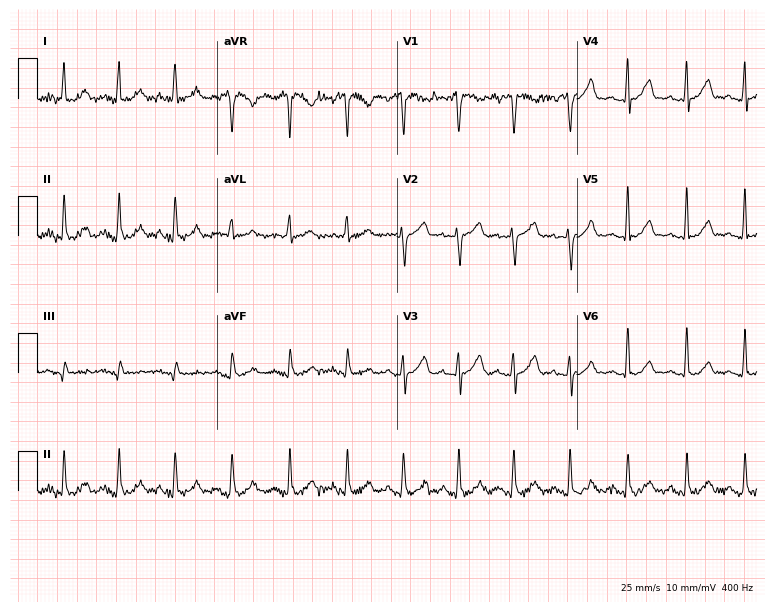
Resting 12-lead electrocardiogram (7.3-second recording at 400 Hz). Patient: a female, 28 years old. None of these six findings is recorded: first-degree AV block, right bundle branch block, left bundle branch block, sinus bradycardia, atrial fibrillation, sinus tachycardia.